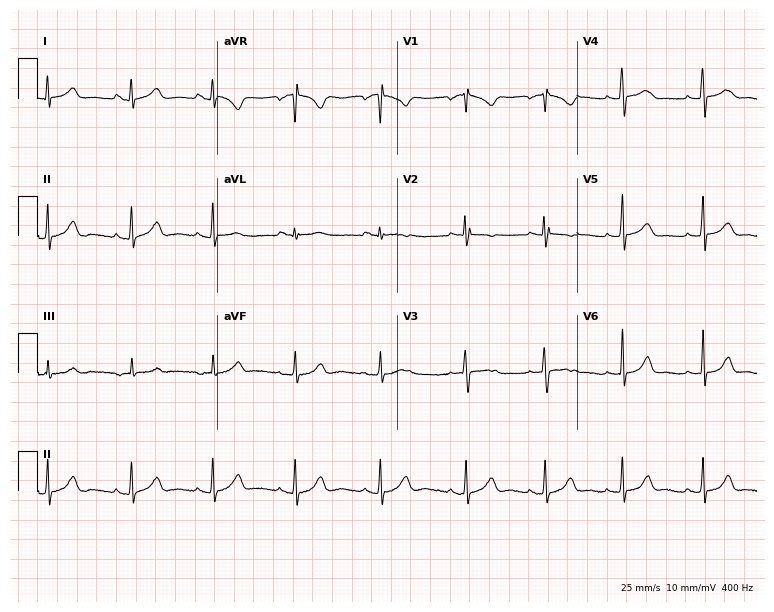
Electrocardiogram (7.3-second recording at 400 Hz), a 17-year-old female patient. Of the six screened findings (first-degree AV block, right bundle branch block (RBBB), left bundle branch block (LBBB), sinus bradycardia, atrial fibrillation (AF), sinus tachycardia), none is recorded. Findings outside these six are not listed.